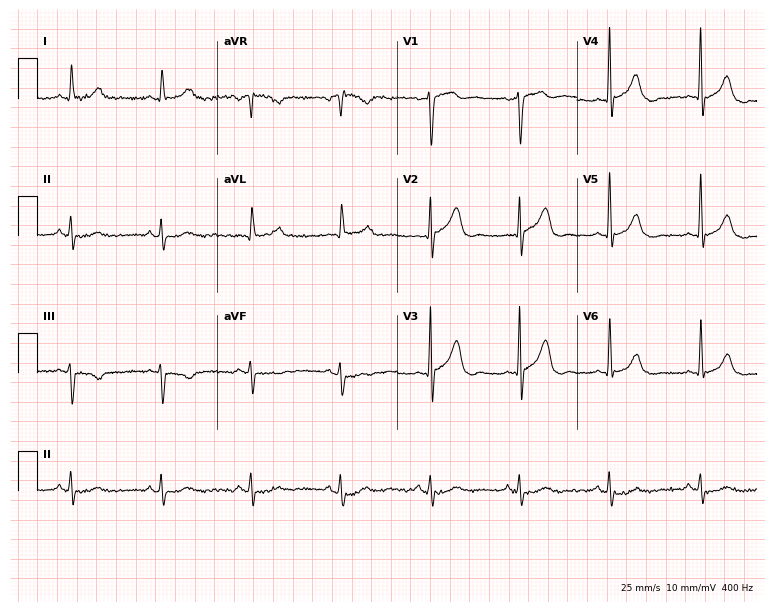
Standard 12-lead ECG recorded from a man, 61 years old (7.3-second recording at 400 Hz). None of these six findings is recorded: first-degree AV block, right bundle branch block (RBBB), left bundle branch block (LBBB), sinus bradycardia, atrial fibrillation (AF), sinus tachycardia.